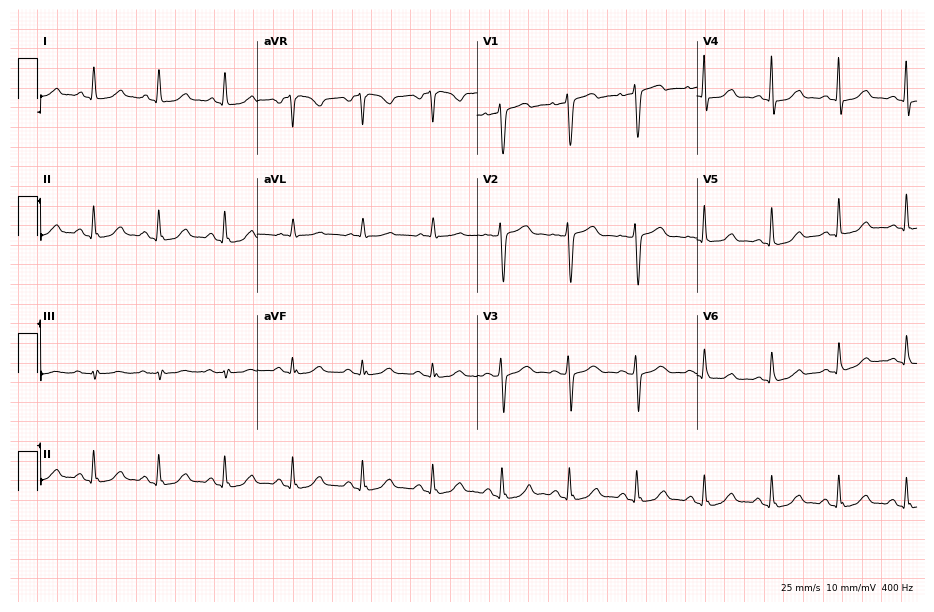
Electrocardiogram (9-second recording at 400 Hz), a female, 53 years old. Overall reading on record: normal ECG.